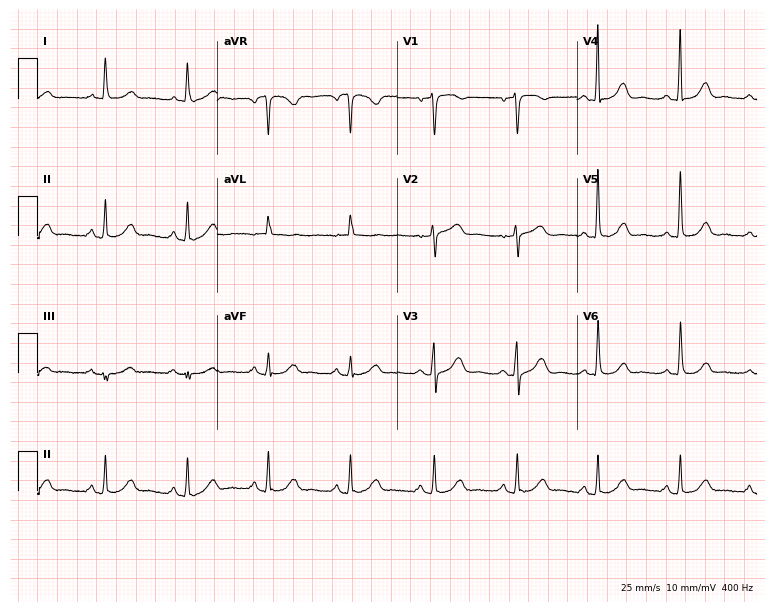
12-lead ECG from a female, 66 years old (7.3-second recording at 400 Hz). No first-degree AV block, right bundle branch block (RBBB), left bundle branch block (LBBB), sinus bradycardia, atrial fibrillation (AF) or sinus tachycardia recorded for this tracing.